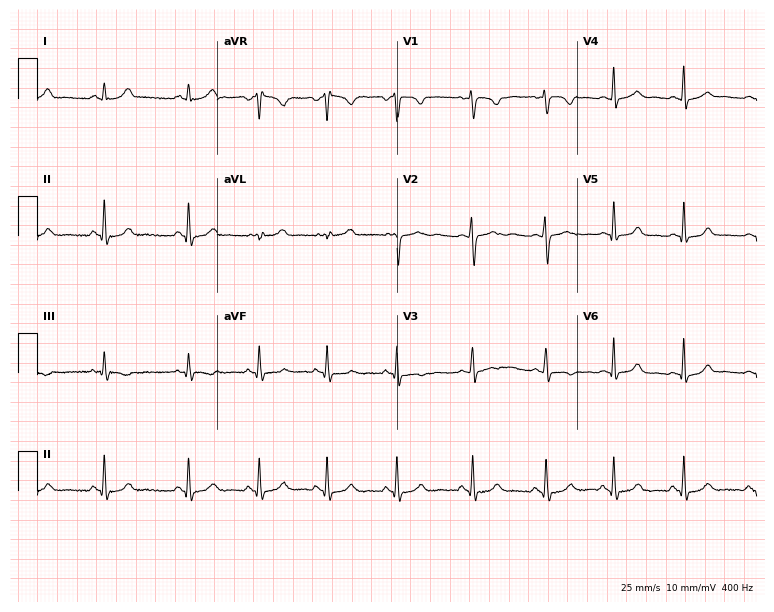
Resting 12-lead electrocardiogram. Patient: a female, 18 years old. Read as a normal ECG.